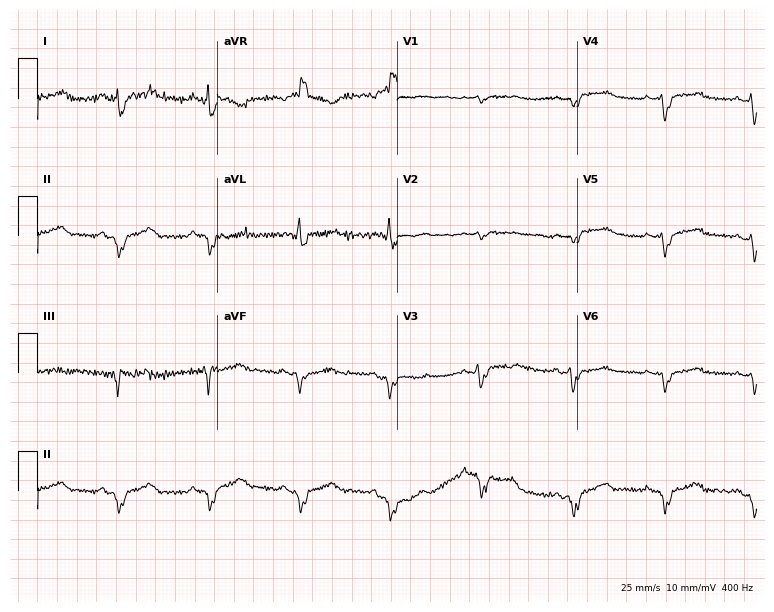
Electrocardiogram (7.3-second recording at 400 Hz), a 42-year-old woman. Interpretation includes left bundle branch block.